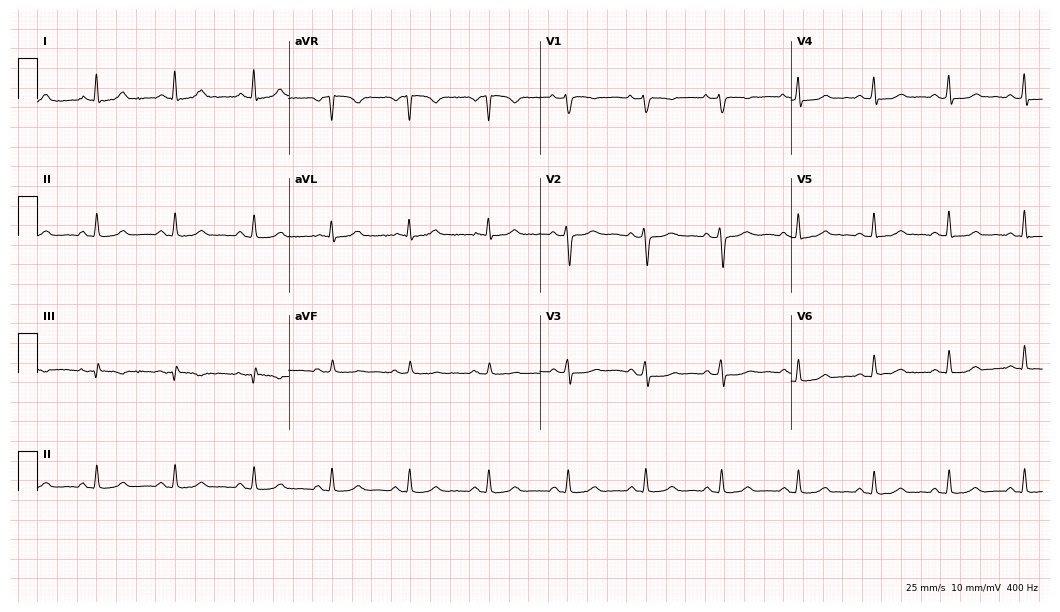
12-lead ECG from a woman, 47 years old. Labelled as a normal ECG.